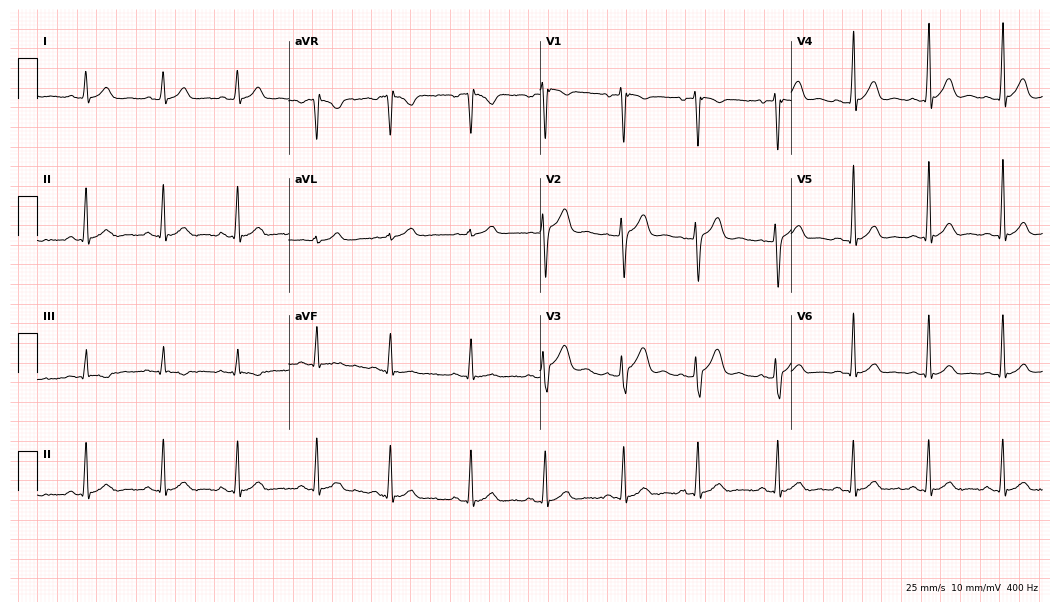
Standard 12-lead ECG recorded from a 31-year-old male (10.2-second recording at 400 Hz). Read as a normal ECG.